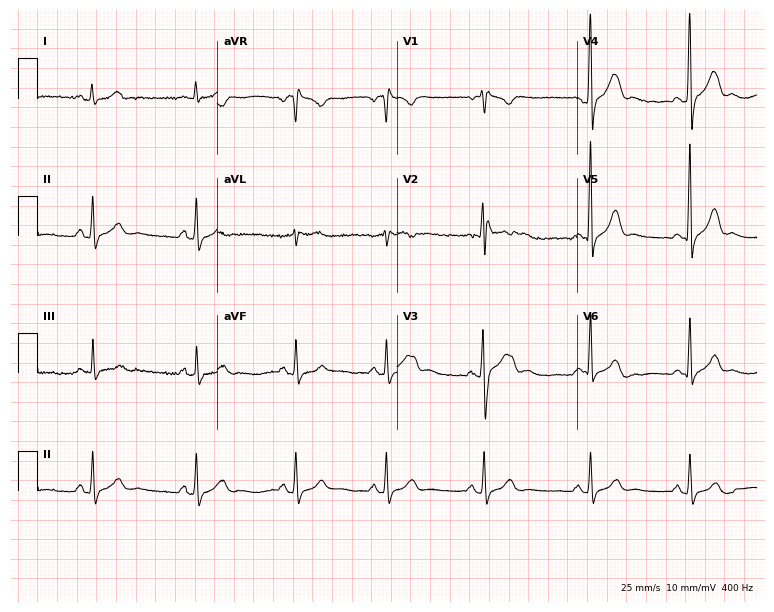
Standard 12-lead ECG recorded from a 21-year-old male patient. None of these six findings is recorded: first-degree AV block, right bundle branch block (RBBB), left bundle branch block (LBBB), sinus bradycardia, atrial fibrillation (AF), sinus tachycardia.